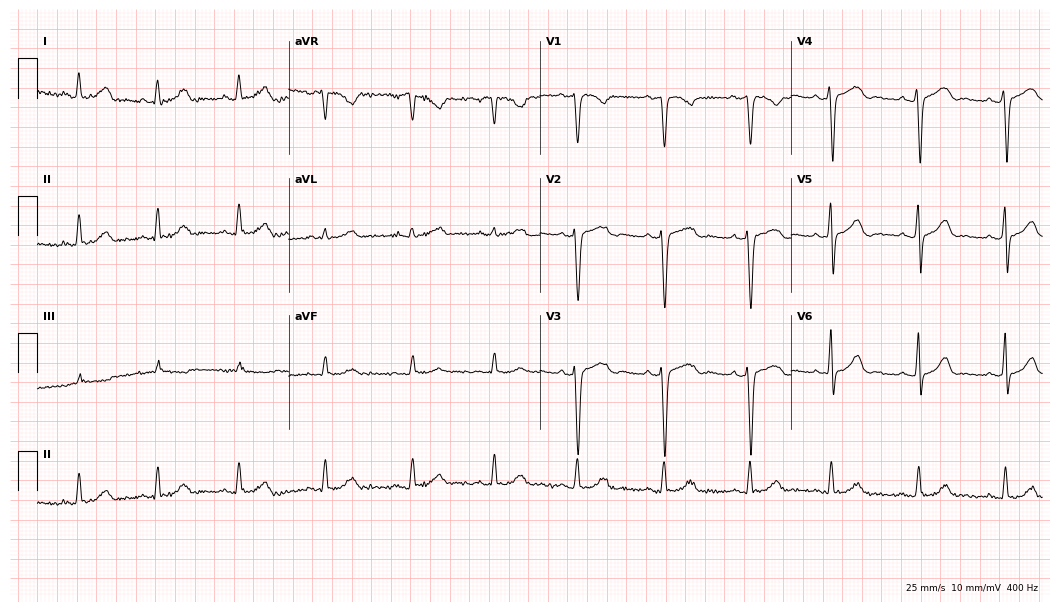
Resting 12-lead electrocardiogram (10.2-second recording at 400 Hz). Patient: a 25-year-old female. None of these six findings is recorded: first-degree AV block, right bundle branch block (RBBB), left bundle branch block (LBBB), sinus bradycardia, atrial fibrillation (AF), sinus tachycardia. Only these six findings were labelled.